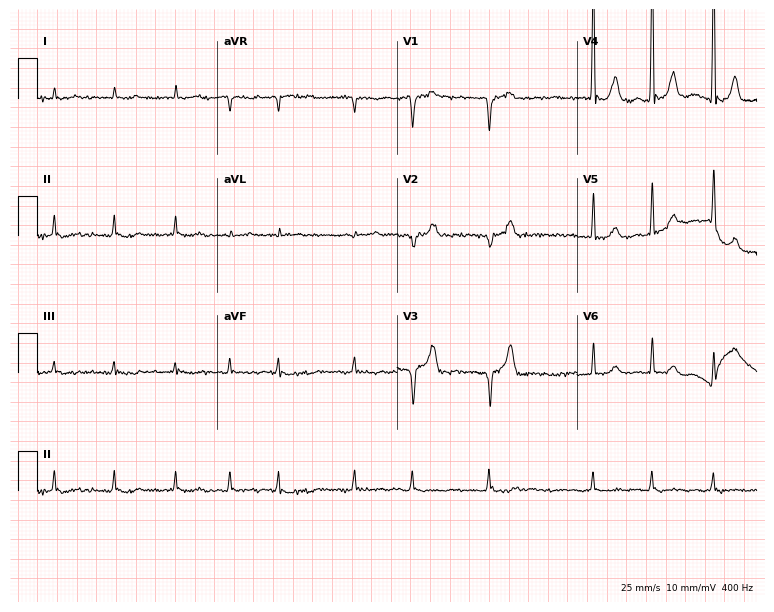
12-lead ECG from a male patient, 88 years old. Findings include atrial fibrillation.